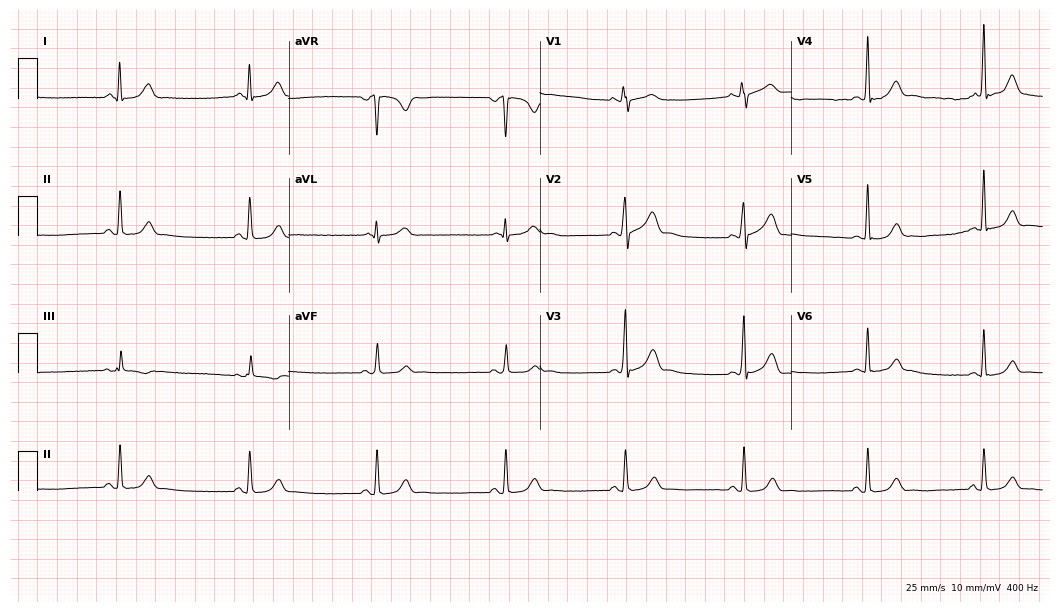
12-lead ECG from a man, 51 years old (10.2-second recording at 400 Hz). Shows sinus bradycardia (a sinus rate of 50 beats per minute or less).